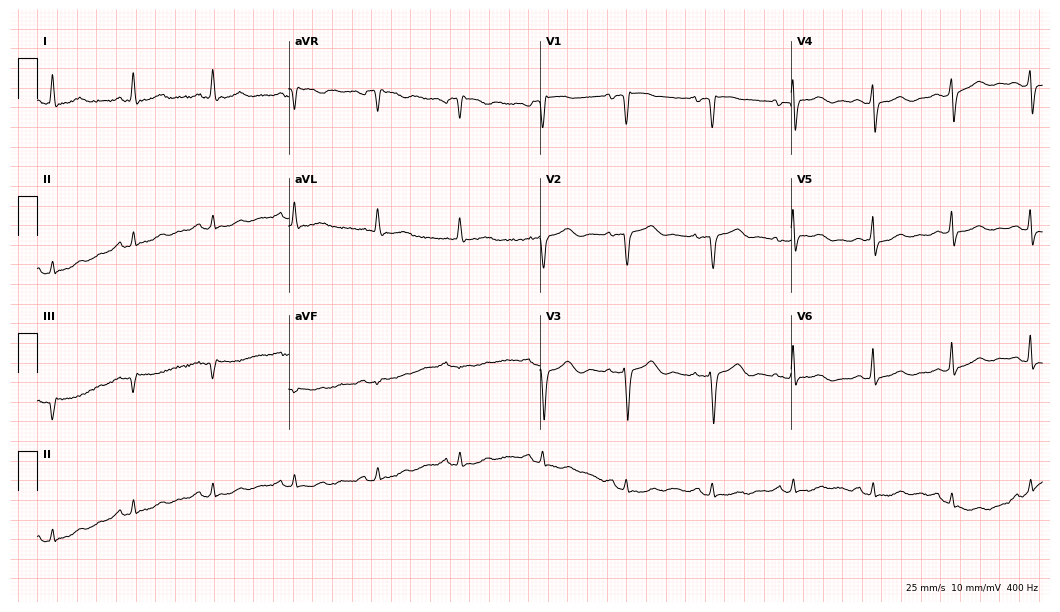
12-lead ECG (10.2-second recording at 400 Hz) from a 51-year-old woman. Labelled as a normal ECG.